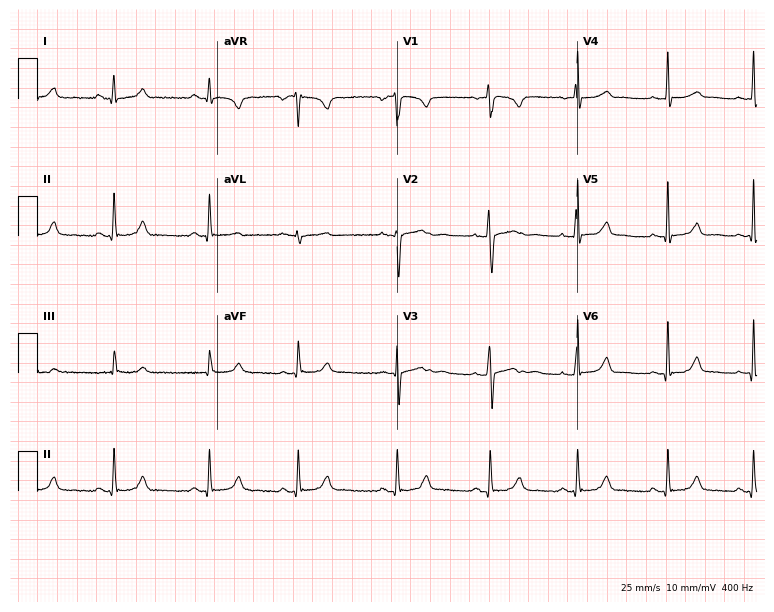
Standard 12-lead ECG recorded from an 18-year-old female (7.3-second recording at 400 Hz). Read as a normal ECG.